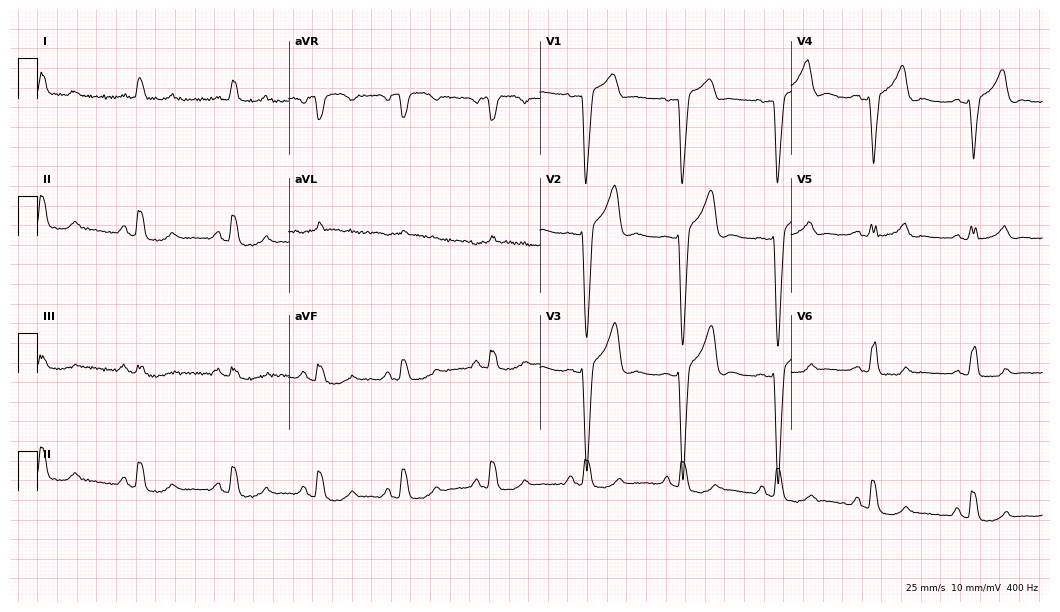
12-lead ECG from a male patient, 77 years old. Findings include left bundle branch block (LBBB).